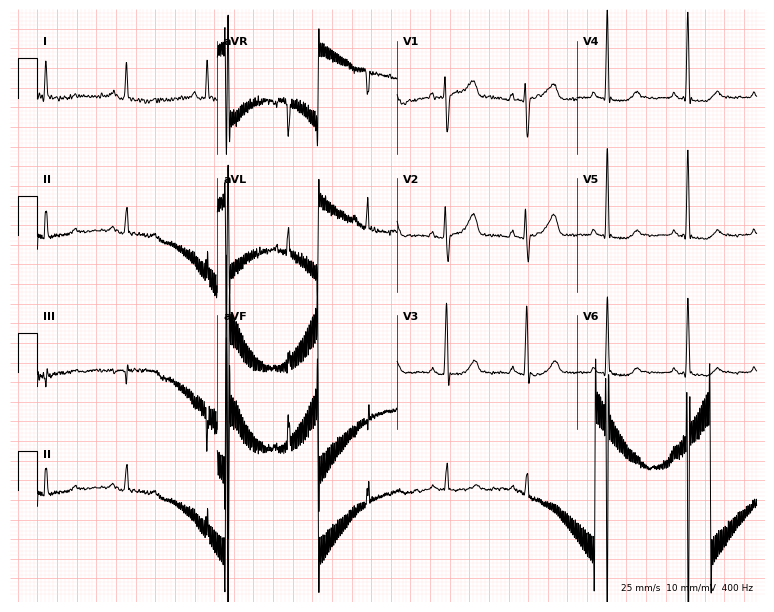
Electrocardiogram (7.3-second recording at 400 Hz), a 78-year-old woman. Of the six screened findings (first-degree AV block, right bundle branch block, left bundle branch block, sinus bradycardia, atrial fibrillation, sinus tachycardia), none is recorded. Only these six findings were labelled.